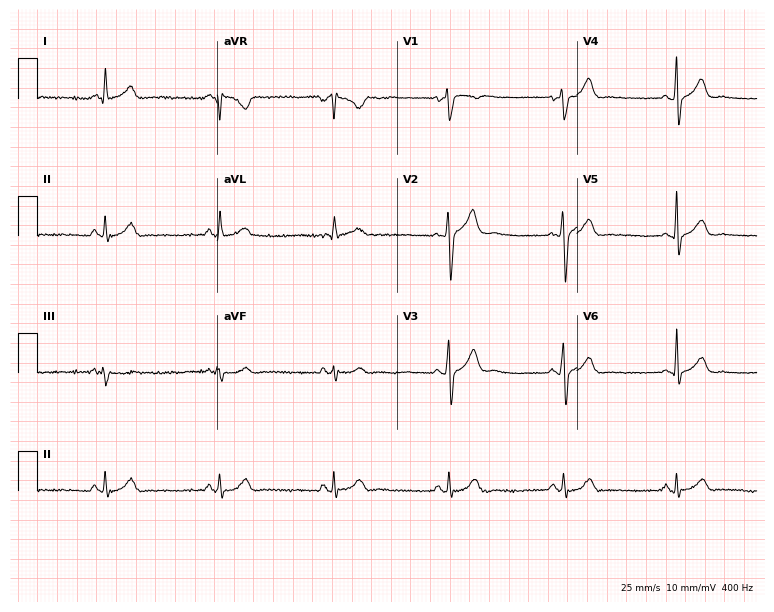
ECG (7.3-second recording at 400 Hz) — a male, 47 years old. Labelled as a normal ECG.